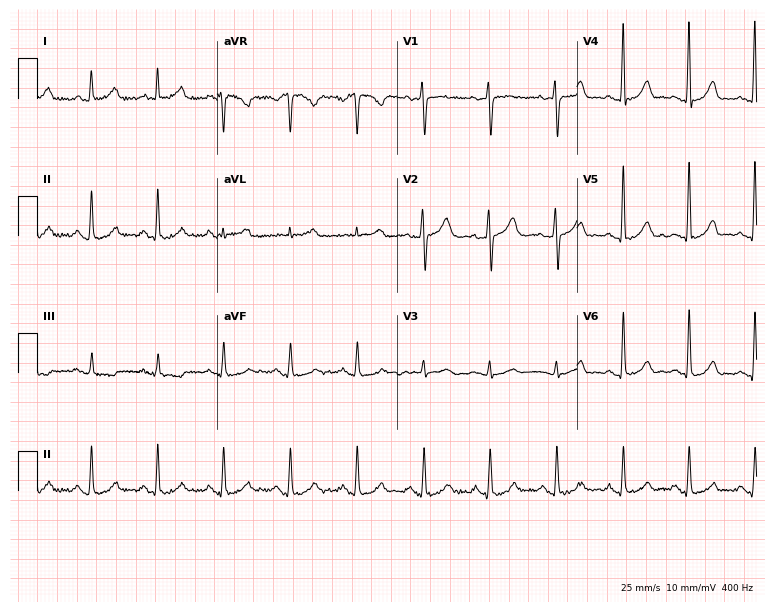
12-lead ECG from a 59-year-old female (7.3-second recording at 400 Hz). Recorded interpretation: within normal limits.